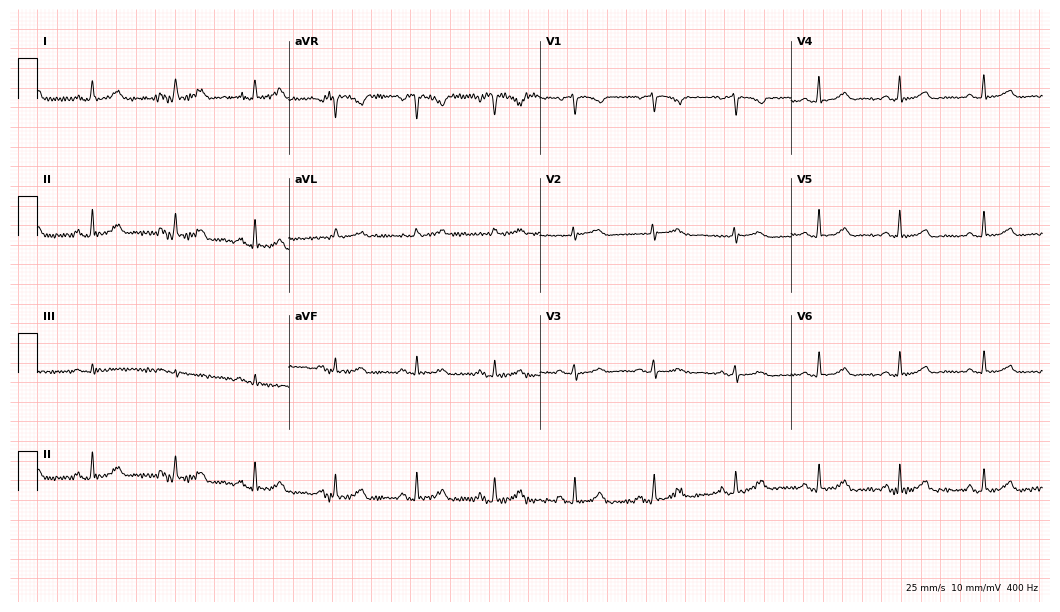
ECG (10.2-second recording at 400 Hz) — a female, 53 years old. Screened for six findings — first-degree AV block, right bundle branch block (RBBB), left bundle branch block (LBBB), sinus bradycardia, atrial fibrillation (AF), sinus tachycardia — none is recorded. Only these six findings were labelled.